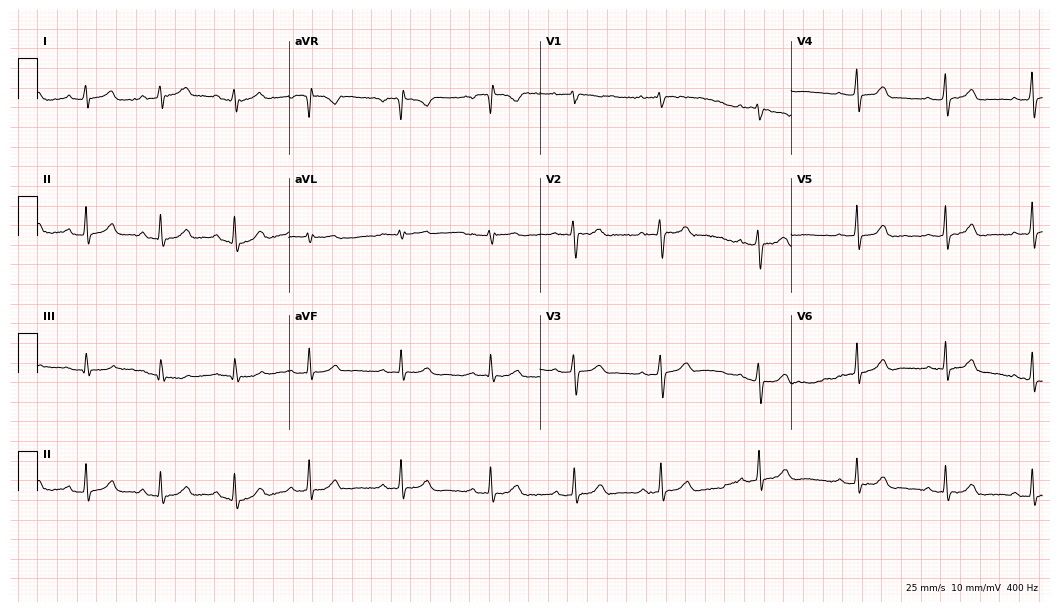
Electrocardiogram (10.2-second recording at 400 Hz), a female patient, 31 years old. Overall reading on record: normal ECG.